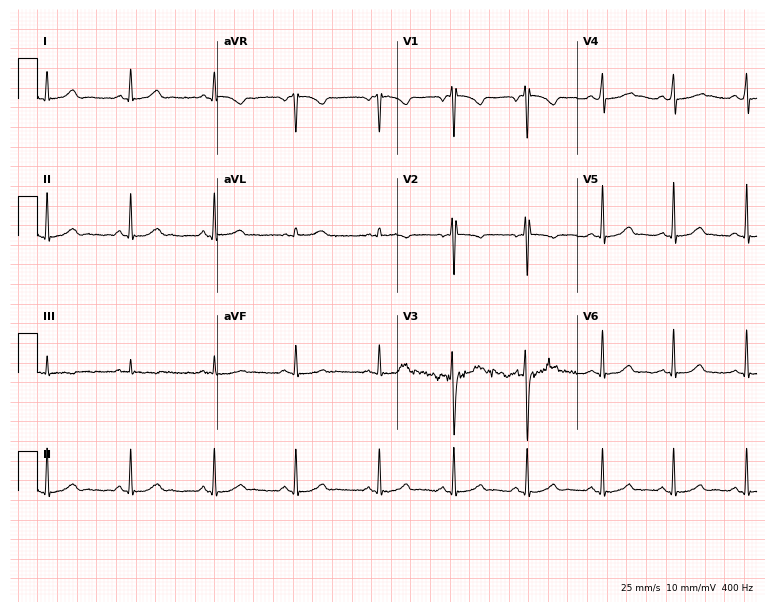
Resting 12-lead electrocardiogram (7.3-second recording at 400 Hz). Patient: a woman, 24 years old. None of these six findings is recorded: first-degree AV block, right bundle branch block, left bundle branch block, sinus bradycardia, atrial fibrillation, sinus tachycardia. Only these six findings were labelled.